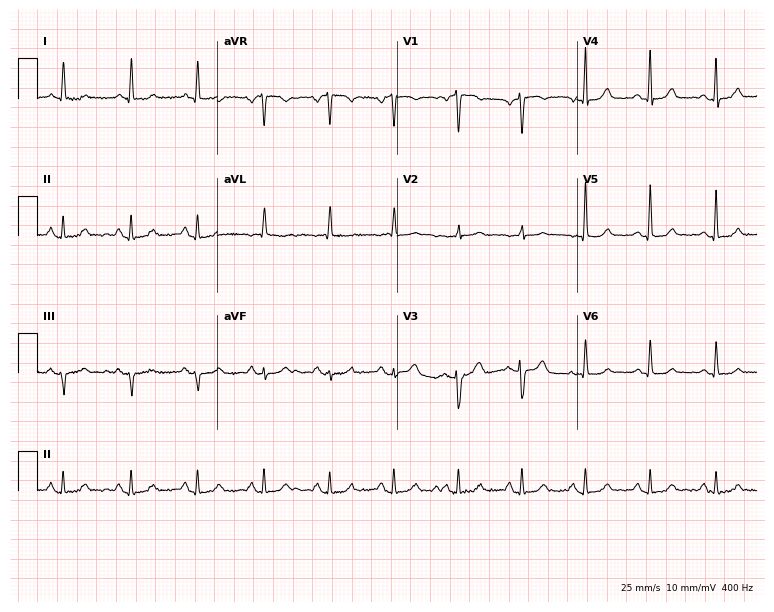
Electrocardiogram, a 74-year-old female patient. Overall reading on record: normal ECG.